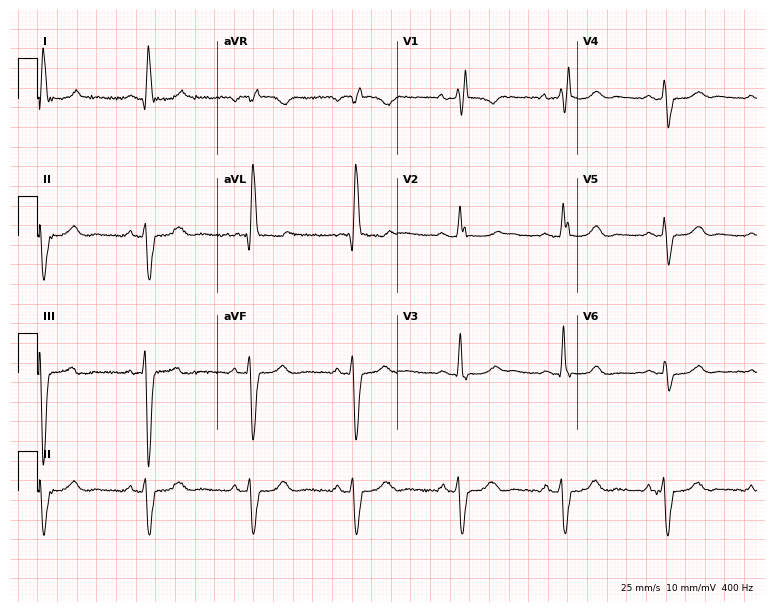
ECG (7.3-second recording at 400 Hz) — a woman, 81 years old. Findings include right bundle branch block (RBBB).